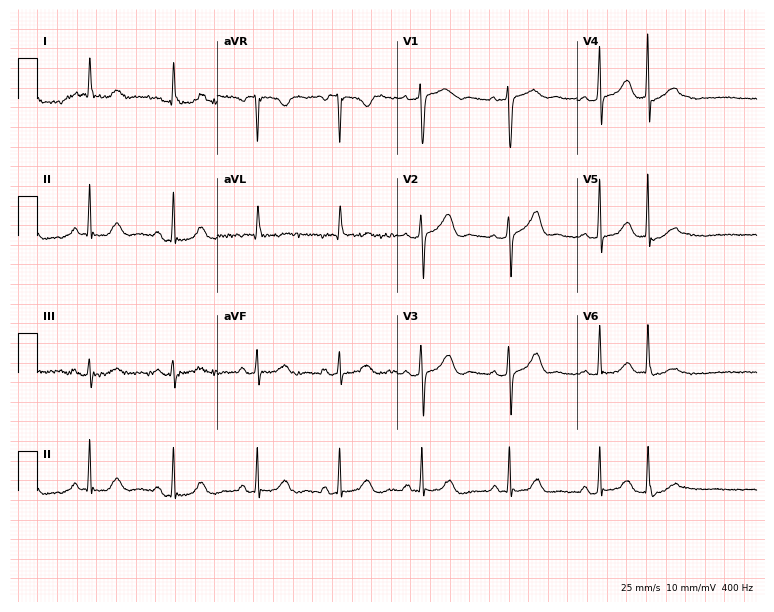
ECG (7.3-second recording at 400 Hz) — a female patient, 70 years old. Screened for six findings — first-degree AV block, right bundle branch block (RBBB), left bundle branch block (LBBB), sinus bradycardia, atrial fibrillation (AF), sinus tachycardia — none is recorded.